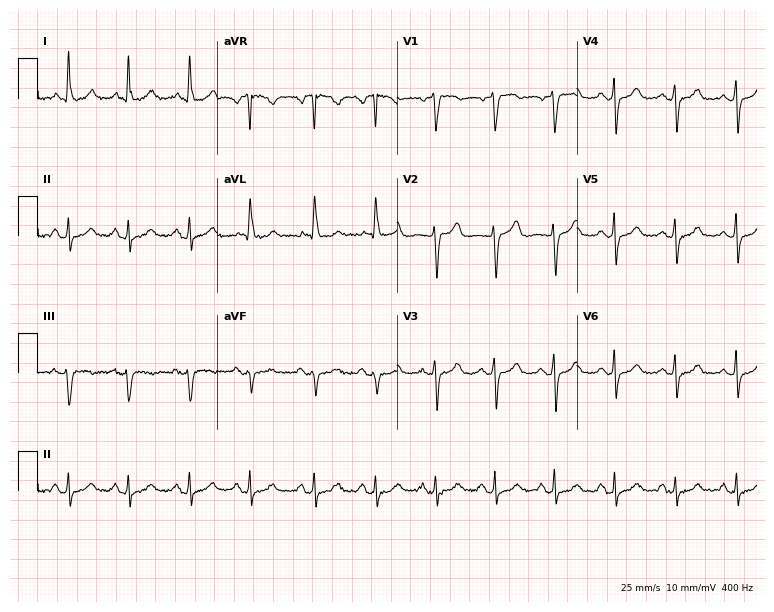
Standard 12-lead ECG recorded from a 65-year-old female. None of these six findings is recorded: first-degree AV block, right bundle branch block, left bundle branch block, sinus bradycardia, atrial fibrillation, sinus tachycardia. Findings outside these six are not listed.